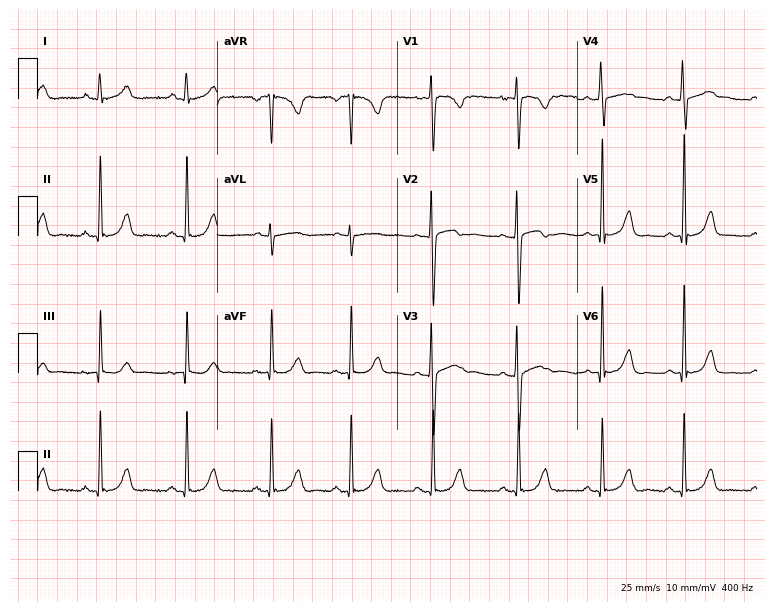
12-lead ECG from a female patient, 27 years old. Labelled as a normal ECG.